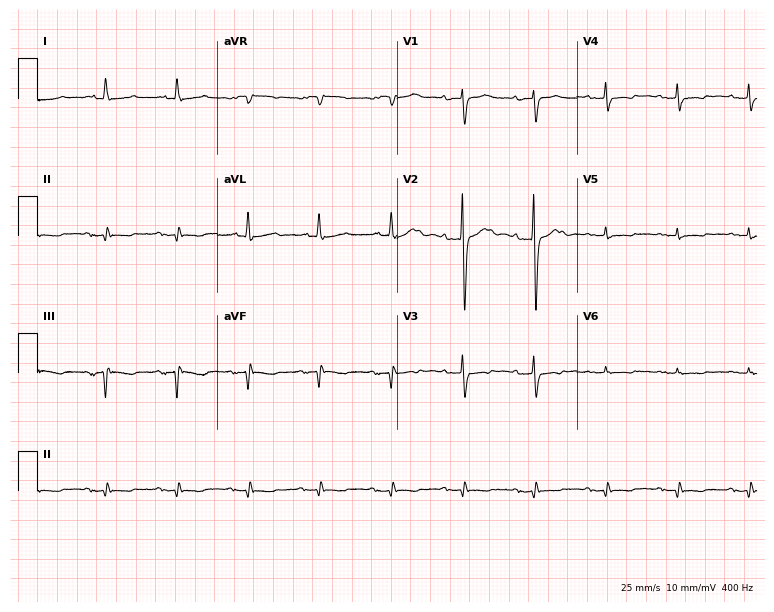
12-lead ECG (7.3-second recording at 400 Hz) from a woman, 85 years old. Labelled as a normal ECG.